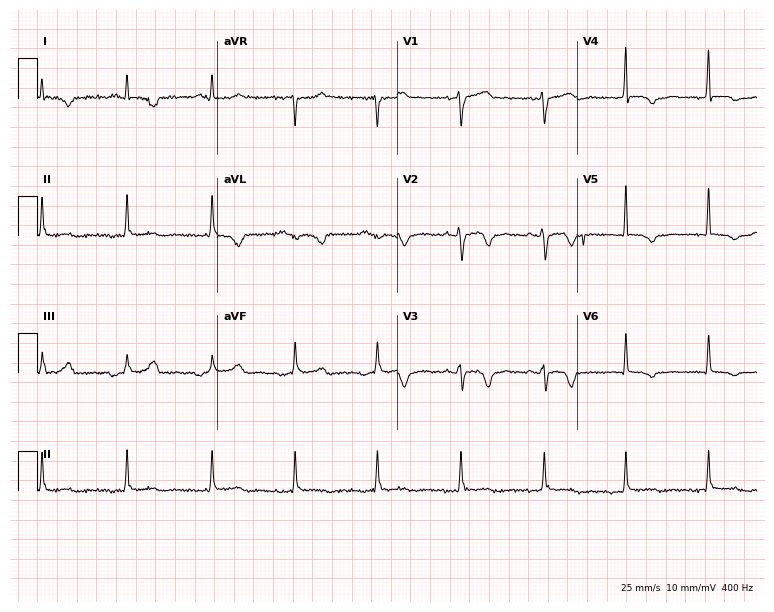
Resting 12-lead electrocardiogram (7.3-second recording at 400 Hz). Patient: a 61-year-old female. None of these six findings is recorded: first-degree AV block, right bundle branch block, left bundle branch block, sinus bradycardia, atrial fibrillation, sinus tachycardia. Other findings, if any, are not listed.